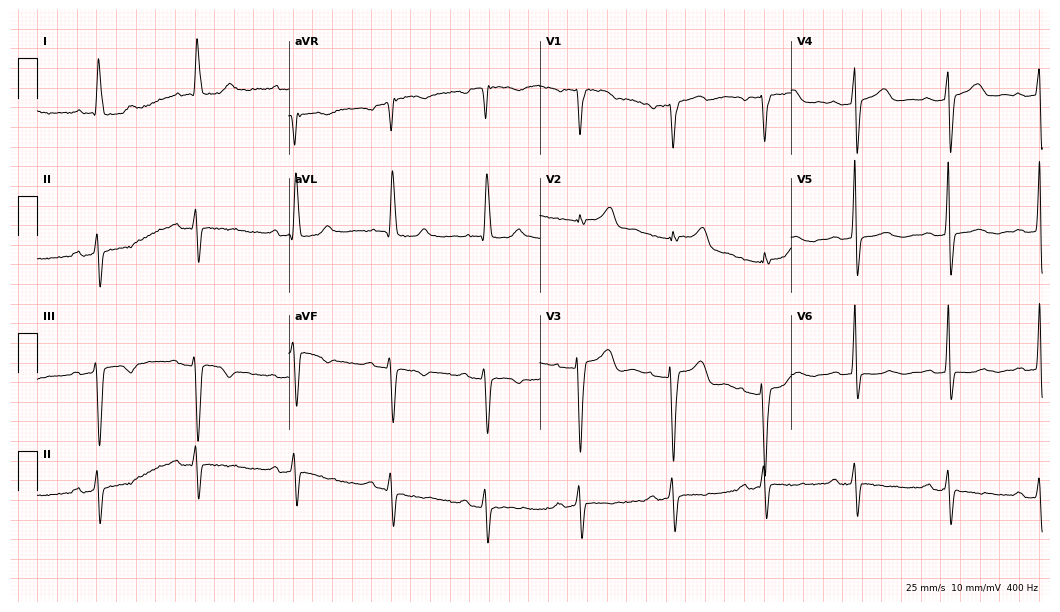
Standard 12-lead ECG recorded from an 86-year-old woman (10.2-second recording at 400 Hz). None of these six findings is recorded: first-degree AV block, right bundle branch block, left bundle branch block, sinus bradycardia, atrial fibrillation, sinus tachycardia.